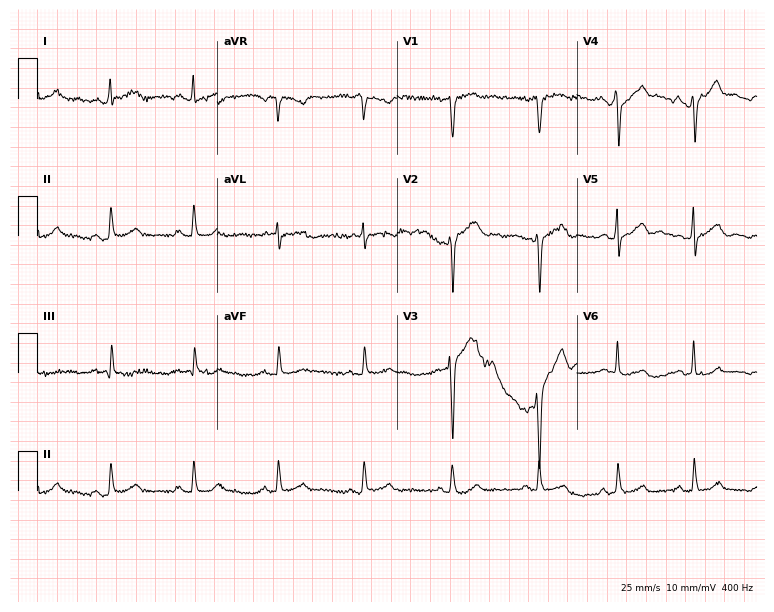
Standard 12-lead ECG recorded from a male, 60 years old (7.3-second recording at 400 Hz). None of these six findings is recorded: first-degree AV block, right bundle branch block, left bundle branch block, sinus bradycardia, atrial fibrillation, sinus tachycardia. Only these six findings were labelled.